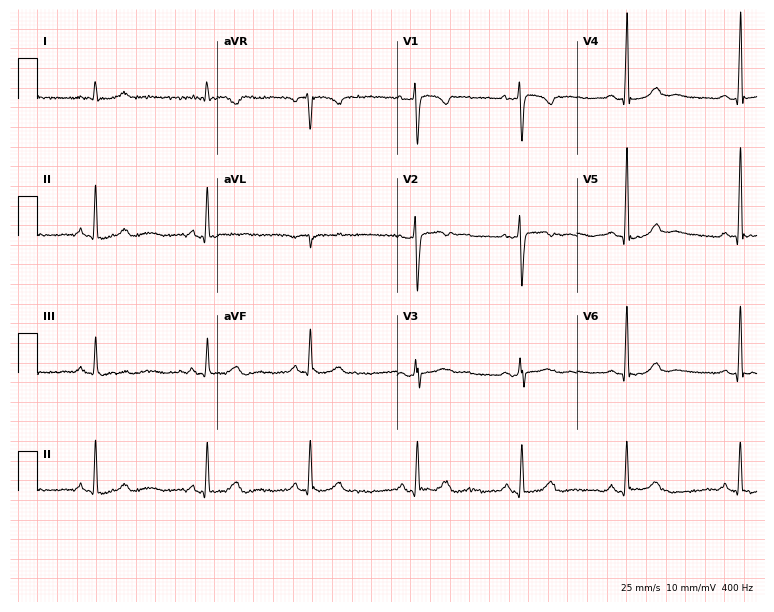
Resting 12-lead electrocardiogram. Patient: a 47-year-old female. Read as a normal ECG.